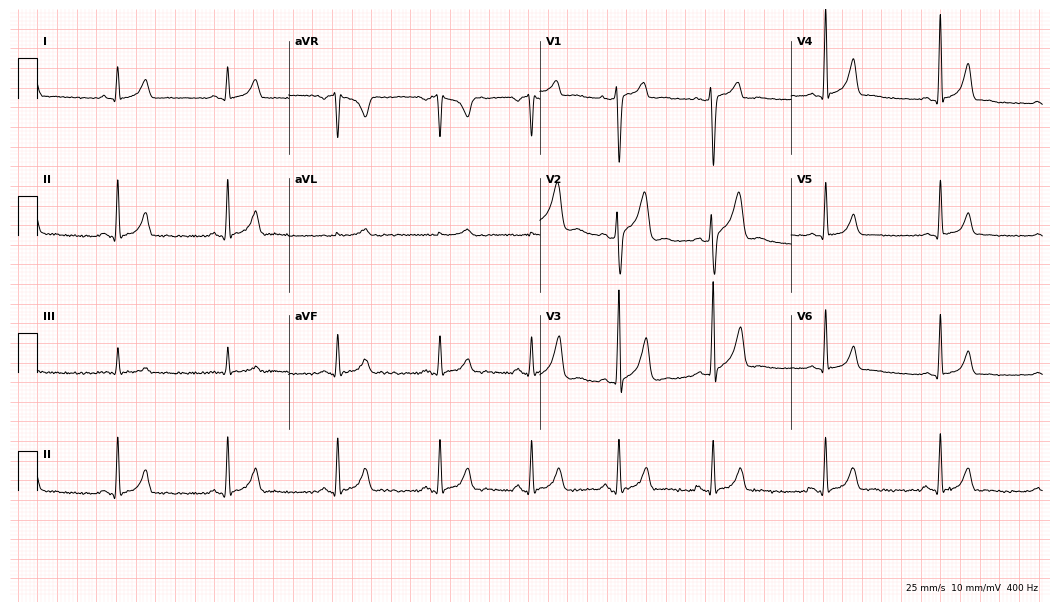
Electrocardiogram, a 39-year-old man. Of the six screened findings (first-degree AV block, right bundle branch block, left bundle branch block, sinus bradycardia, atrial fibrillation, sinus tachycardia), none is recorded.